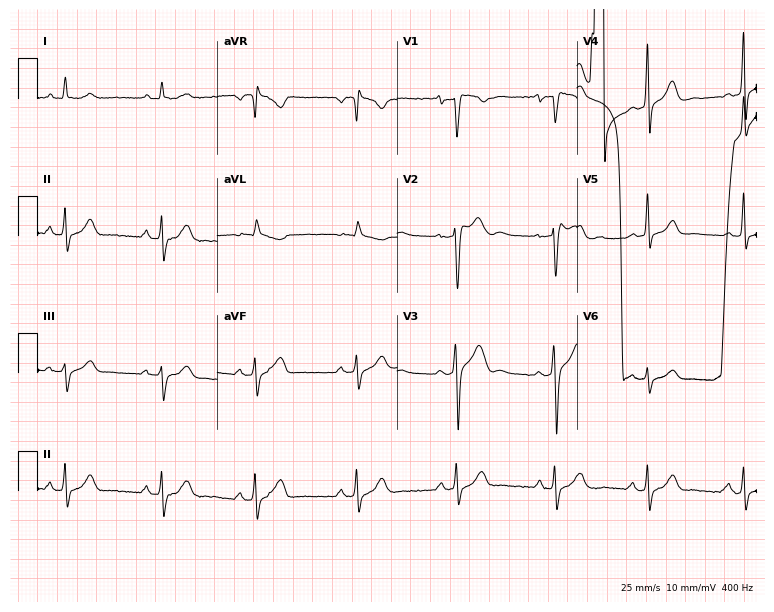
12-lead ECG from a 30-year-old man (7.3-second recording at 400 Hz). No first-degree AV block, right bundle branch block, left bundle branch block, sinus bradycardia, atrial fibrillation or sinus tachycardia recorded for this tracing. Findings outside these six are not listed.